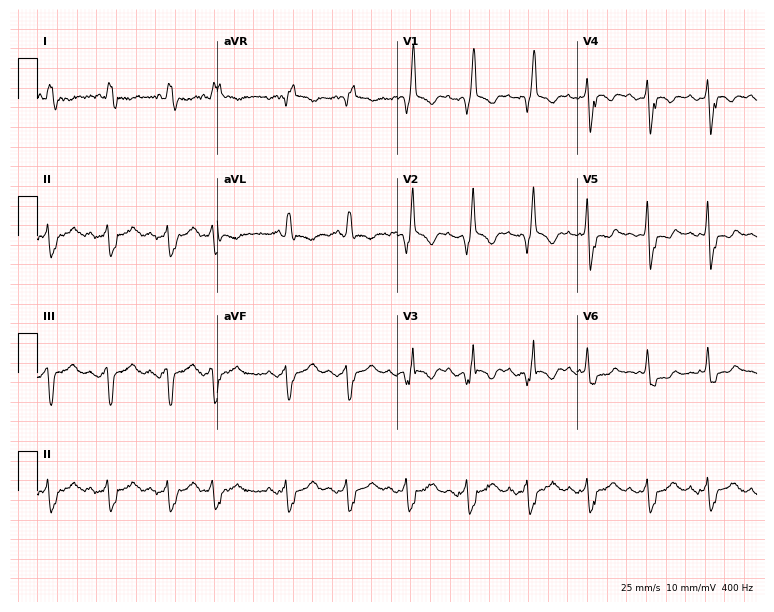
12-lead ECG from a 75-year-old man. Shows right bundle branch block.